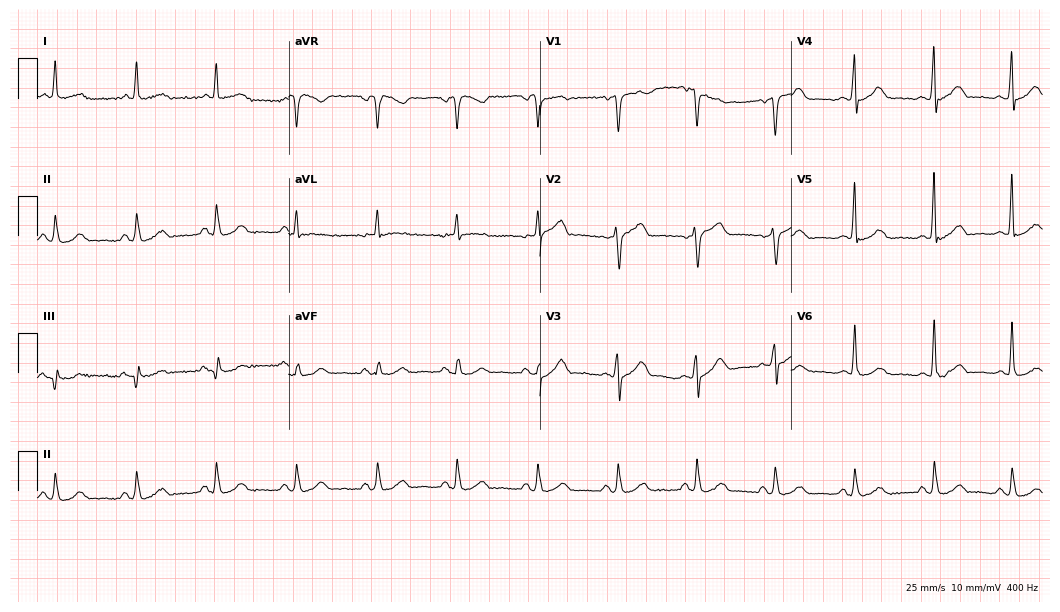
ECG (10.2-second recording at 400 Hz) — a 71-year-old male patient. Labelled as a normal ECG.